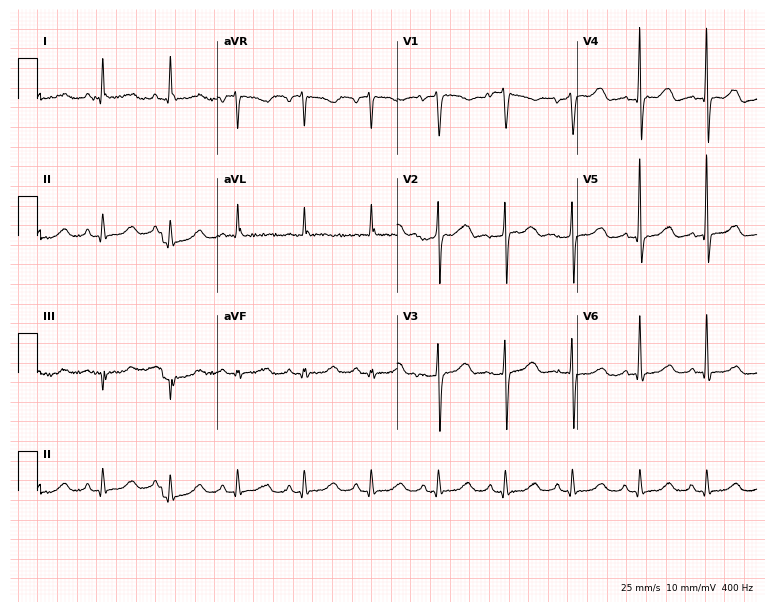
Resting 12-lead electrocardiogram (7.3-second recording at 400 Hz). Patient: a 74-year-old female. None of these six findings is recorded: first-degree AV block, right bundle branch block (RBBB), left bundle branch block (LBBB), sinus bradycardia, atrial fibrillation (AF), sinus tachycardia. Only these six findings were labelled.